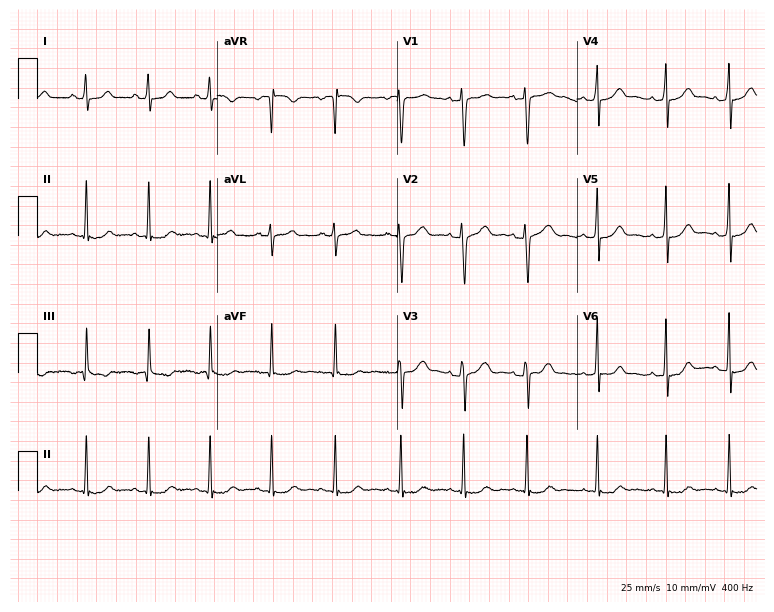
12-lead ECG (7.3-second recording at 400 Hz) from a 21-year-old woman. Labelled as a normal ECG.